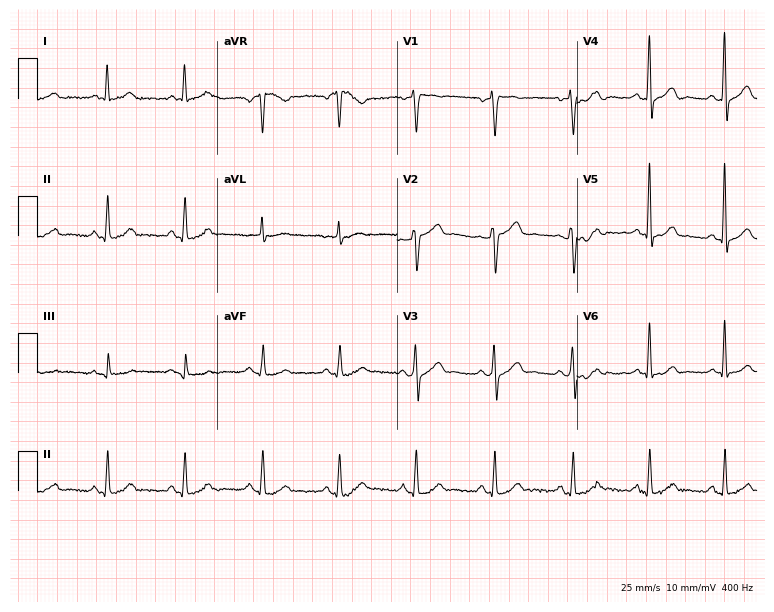
12-lead ECG (7.3-second recording at 400 Hz) from a man, 48 years old. Screened for six findings — first-degree AV block, right bundle branch block, left bundle branch block, sinus bradycardia, atrial fibrillation, sinus tachycardia — none is recorded.